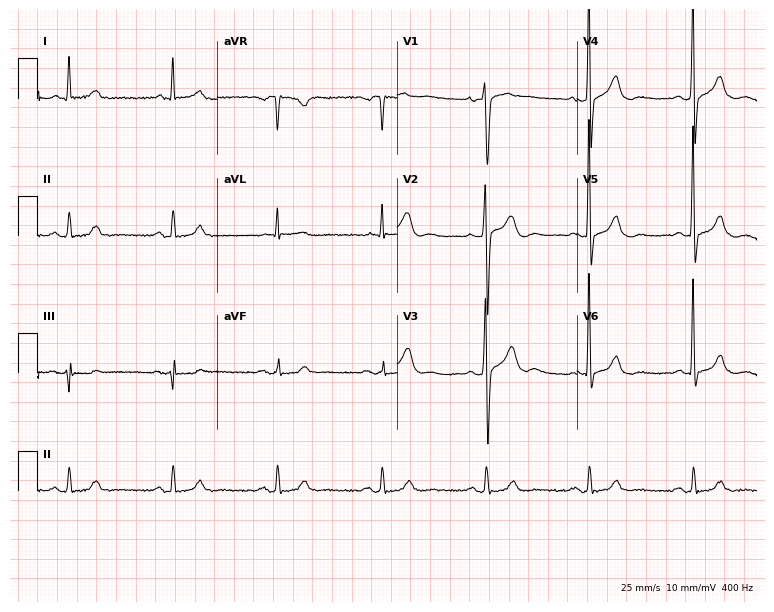
ECG (7.3-second recording at 400 Hz) — a male patient, 63 years old. Labelled as a normal ECG.